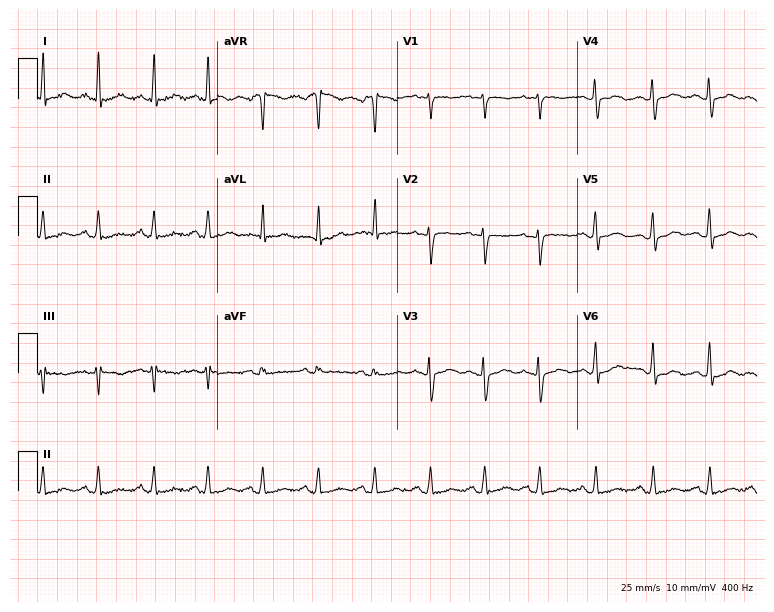
12-lead ECG from a woman, 25 years old (7.3-second recording at 400 Hz). Shows sinus tachycardia (a sinus rate of 100 beats per minute or more).